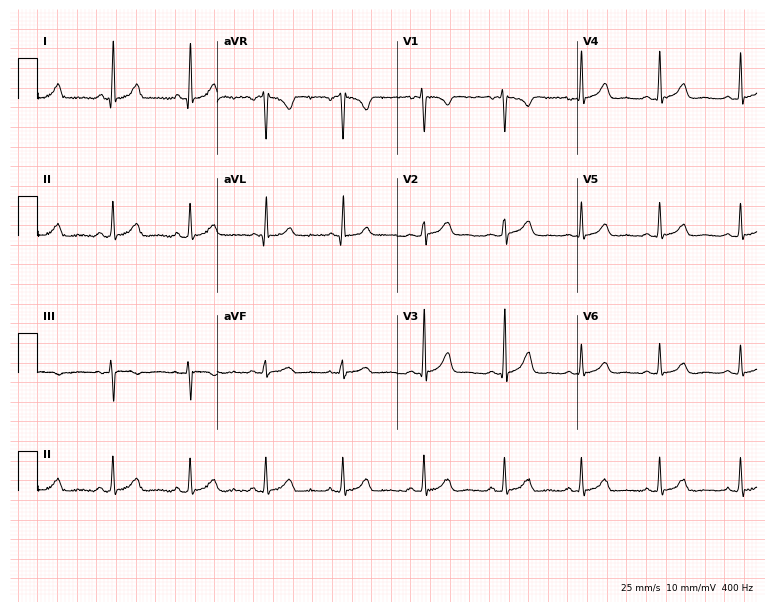
Standard 12-lead ECG recorded from a 22-year-old female. None of these six findings is recorded: first-degree AV block, right bundle branch block (RBBB), left bundle branch block (LBBB), sinus bradycardia, atrial fibrillation (AF), sinus tachycardia.